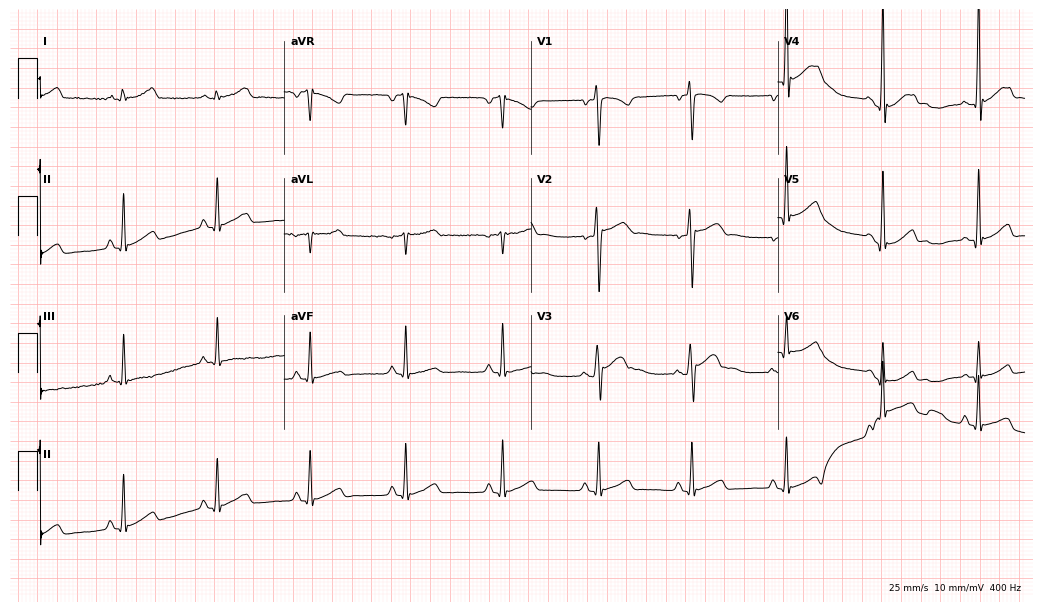
Electrocardiogram (10.1-second recording at 400 Hz), a male patient, 17 years old. Overall reading on record: normal ECG.